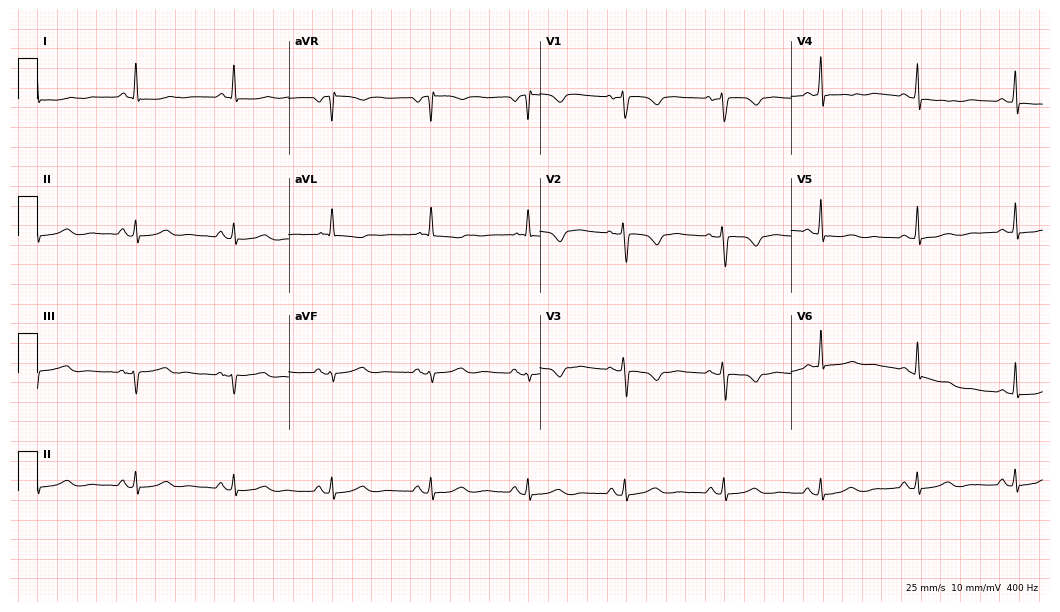
Electrocardiogram, a female patient, 76 years old. Of the six screened findings (first-degree AV block, right bundle branch block (RBBB), left bundle branch block (LBBB), sinus bradycardia, atrial fibrillation (AF), sinus tachycardia), none is recorded.